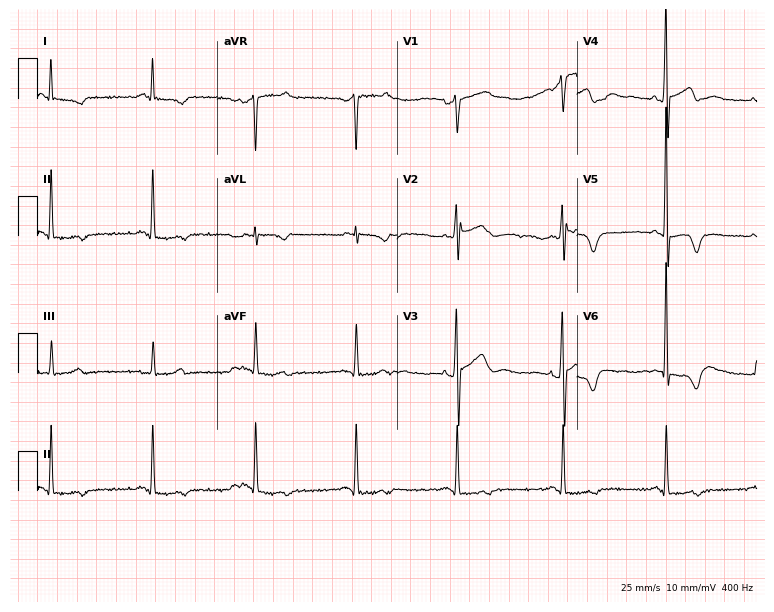
Electrocardiogram (7.3-second recording at 400 Hz), a man, 72 years old. Of the six screened findings (first-degree AV block, right bundle branch block (RBBB), left bundle branch block (LBBB), sinus bradycardia, atrial fibrillation (AF), sinus tachycardia), none is recorded. Only these six findings were labelled.